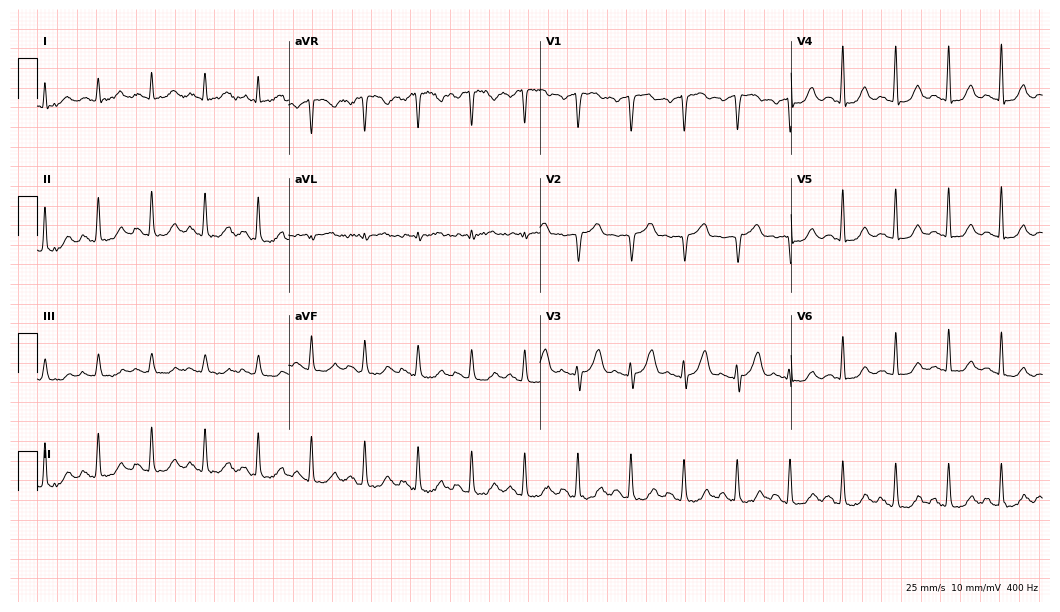
Standard 12-lead ECG recorded from a 66-year-old woman (10.2-second recording at 400 Hz). The tracing shows sinus tachycardia (a sinus rate of 100 beats per minute or more).